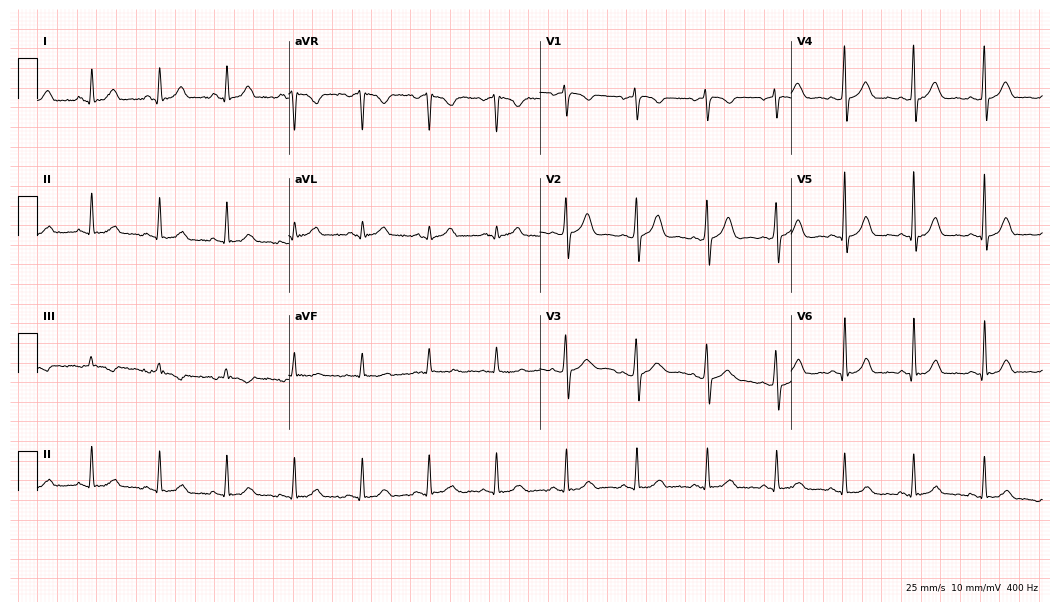
Electrocardiogram (10.2-second recording at 400 Hz), a 37-year-old woman. Overall reading on record: normal ECG.